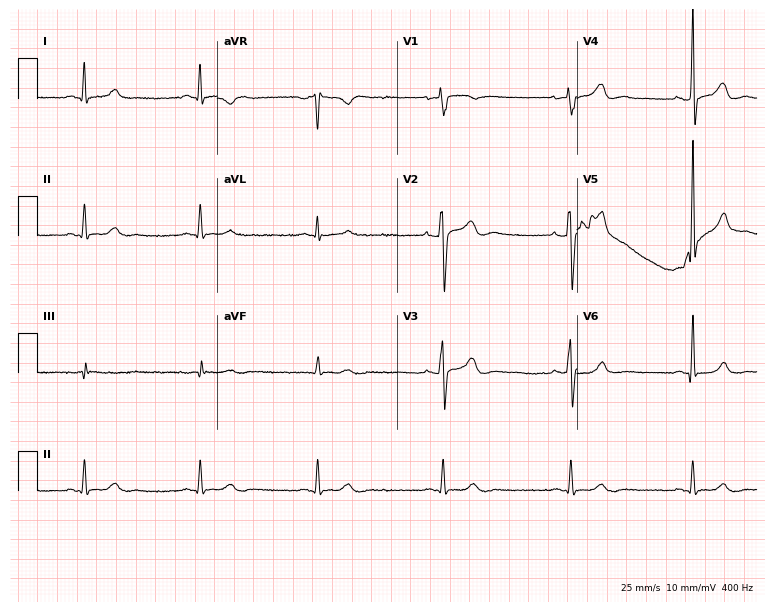
Standard 12-lead ECG recorded from a 47-year-old male patient. The tracing shows sinus bradycardia (a sinus rate of 50 beats per minute or less).